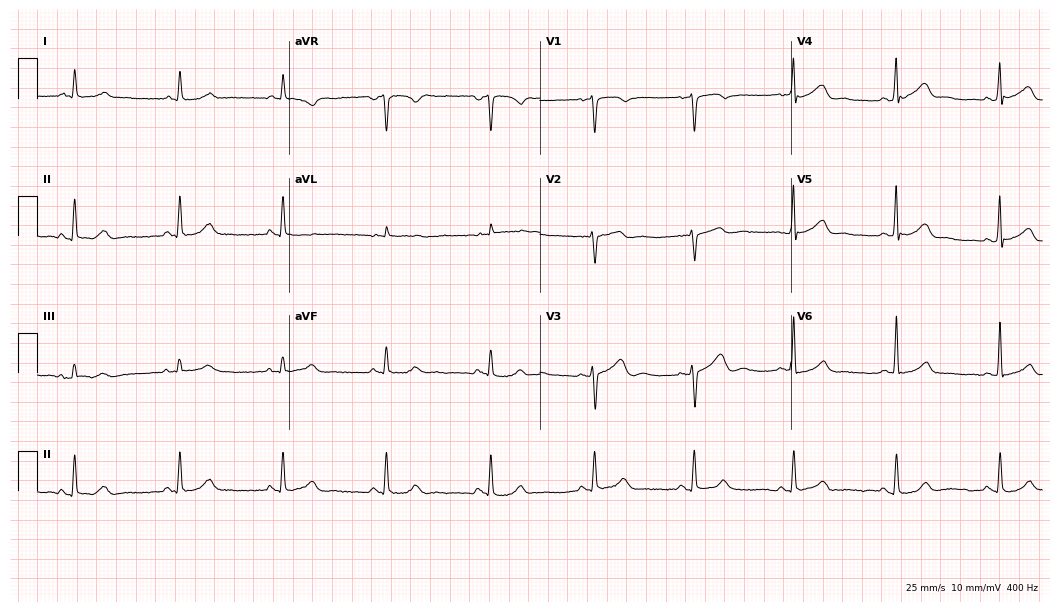
12-lead ECG (10.2-second recording at 400 Hz) from a man, 58 years old. Labelled as a normal ECG.